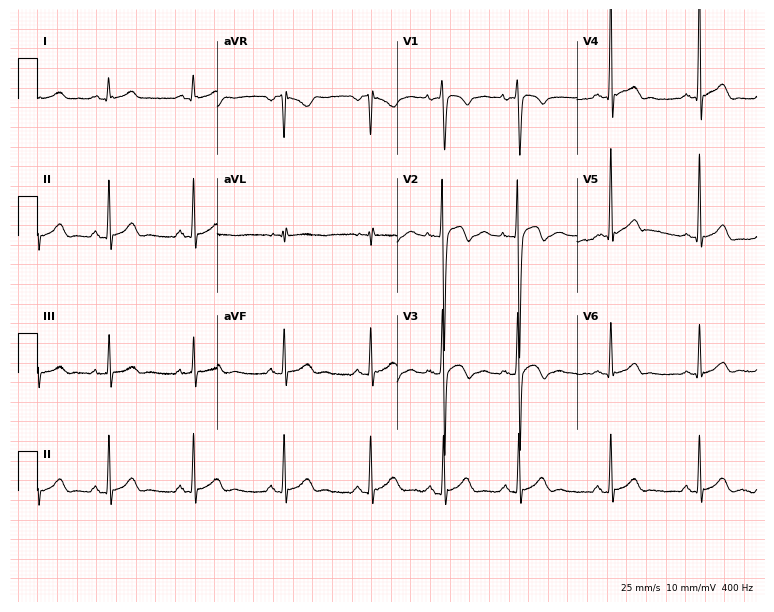
12-lead ECG from a 17-year-old male patient (7.3-second recording at 400 Hz). Recorded interpretation: within normal limits.